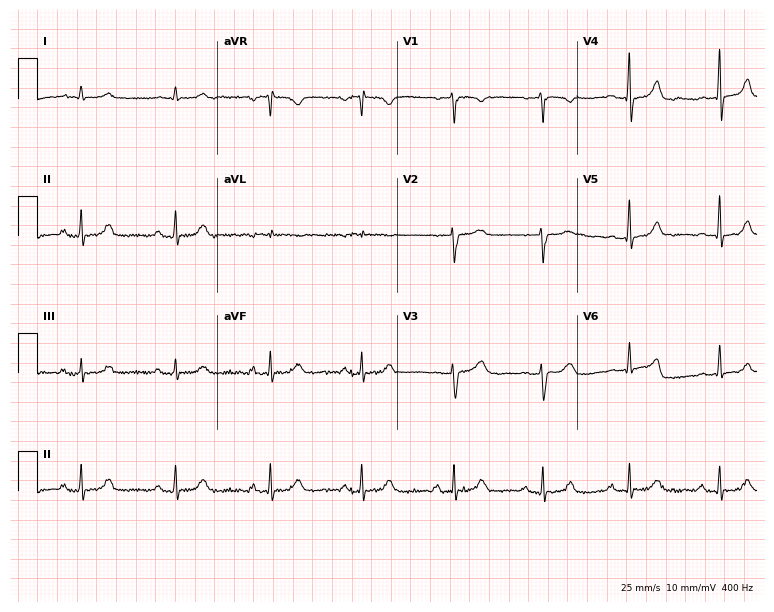
ECG — a female patient, 68 years old. Screened for six findings — first-degree AV block, right bundle branch block, left bundle branch block, sinus bradycardia, atrial fibrillation, sinus tachycardia — none is recorded.